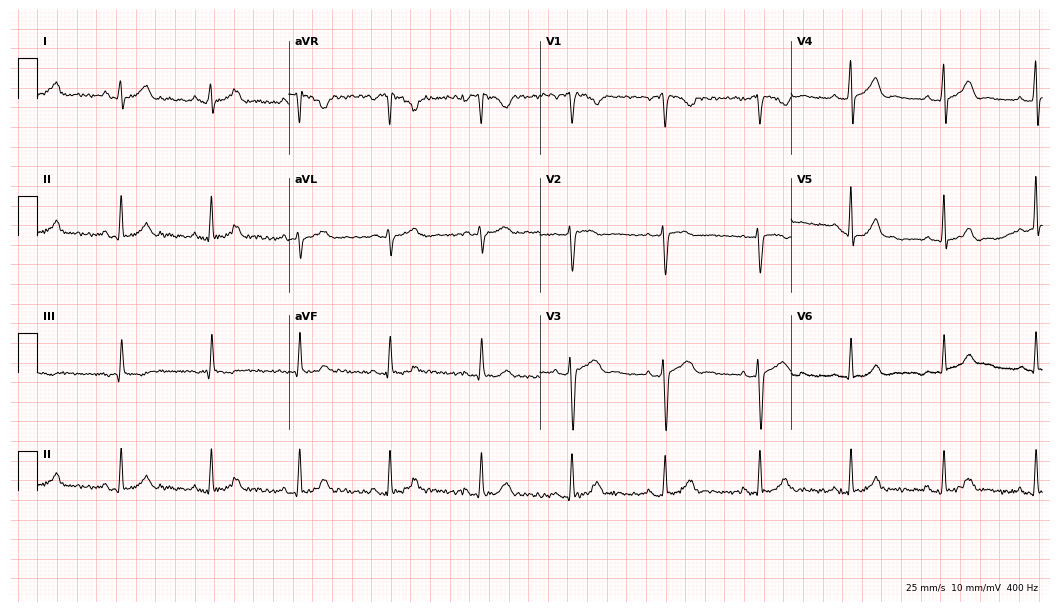
ECG (10.2-second recording at 400 Hz) — a 45-year-old woman. Labelled as a normal ECG.